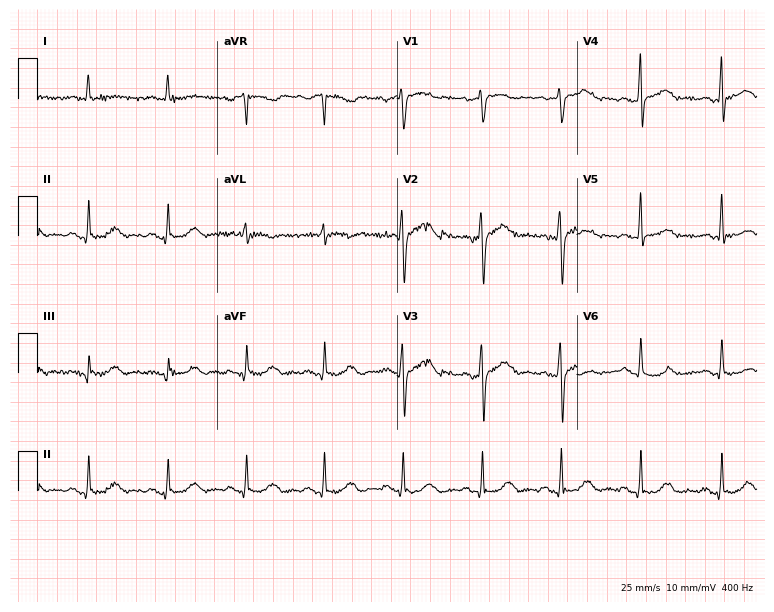
Standard 12-lead ECG recorded from a woman, 66 years old (7.3-second recording at 400 Hz). Read as a normal ECG.